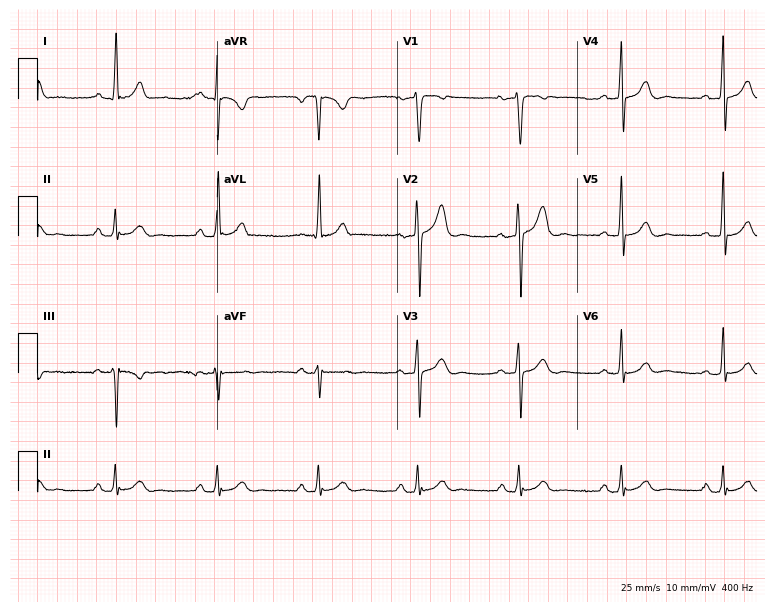
Standard 12-lead ECG recorded from a 50-year-old male patient (7.3-second recording at 400 Hz). Read as a normal ECG.